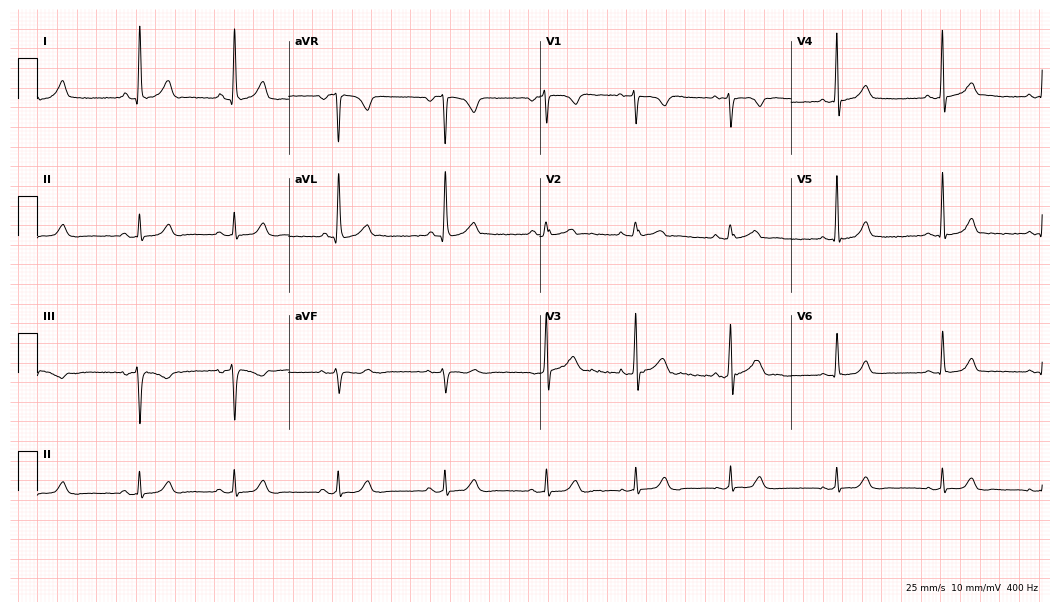
Standard 12-lead ECG recorded from a 35-year-old female patient (10.2-second recording at 400 Hz). Read as a normal ECG.